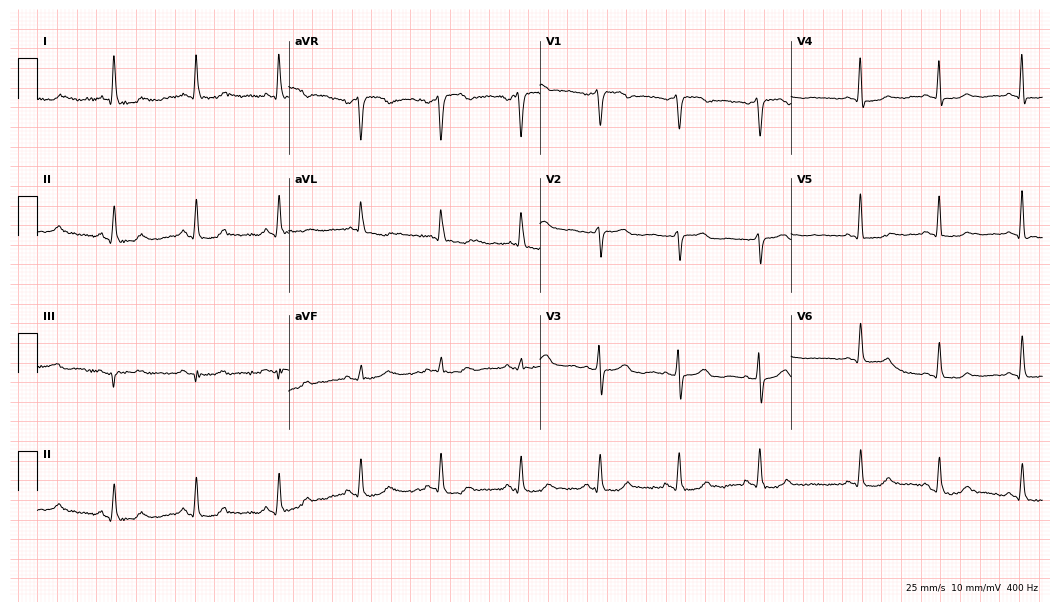
12-lead ECG from a 75-year-old woman. Labelled as a normal ECG.